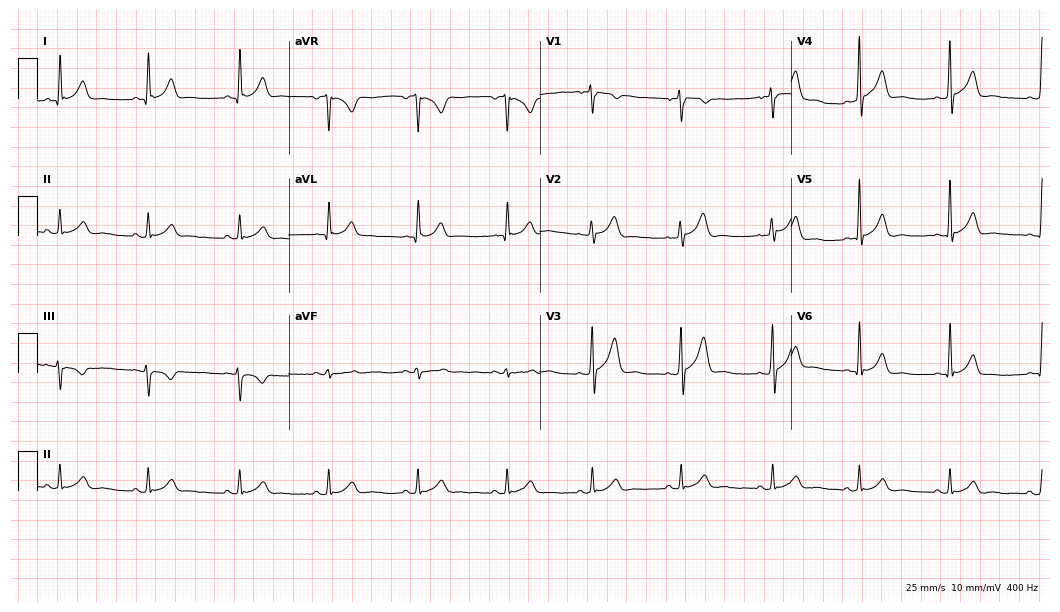
ECG (10.2-second recording at 400 Hz) — a man, 44 years old. Labelled as a normal ECG.